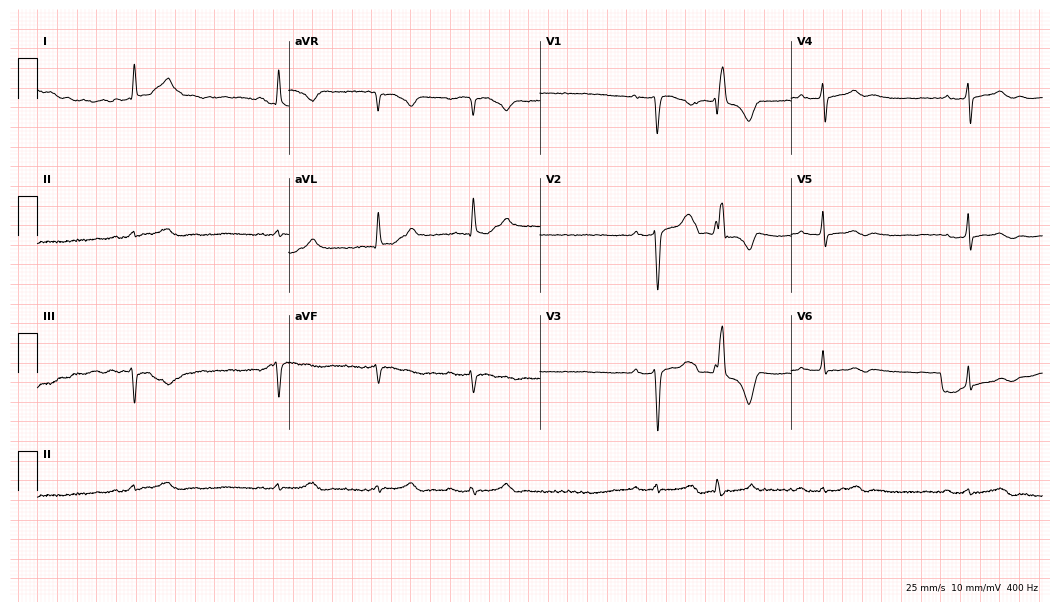
Standard 12-lead ECG recorded from a 65-year-old man (10.2-second recording at 400 Hz). The tracing shows first-degree AV block, sinus bradycardia (a sinus rate of 50 beats per minute or less).